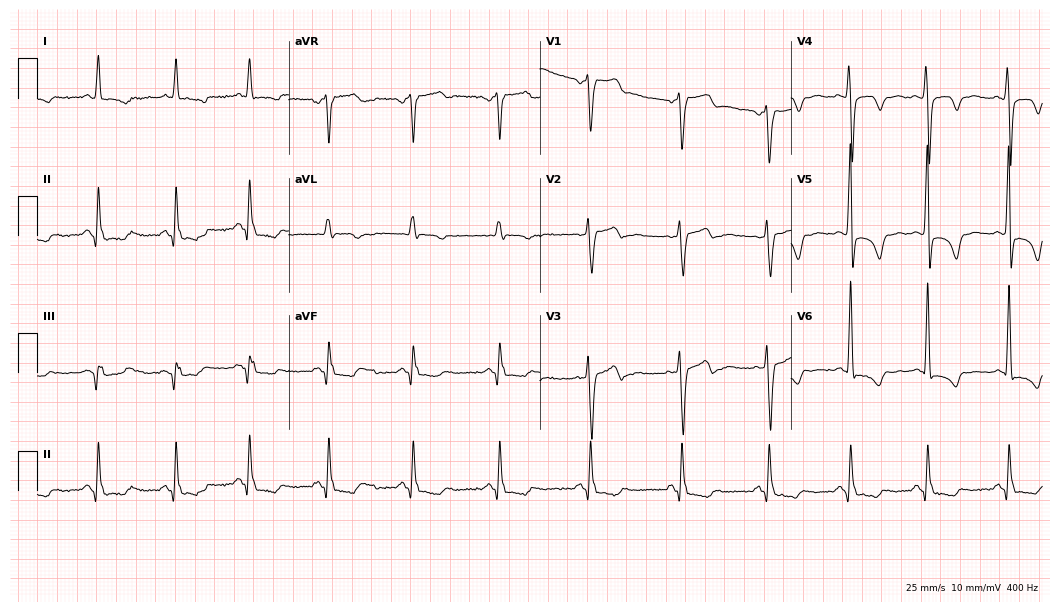
Standard 12-lead ECG recorded from a man, 60 years old. None of these six findings is recorded: first-degree AV block, right bundle branch block, left bundle branch block, sinus bradycardia, atrial fibrillation, sinus tachycardia. Only these six findings were labelled.